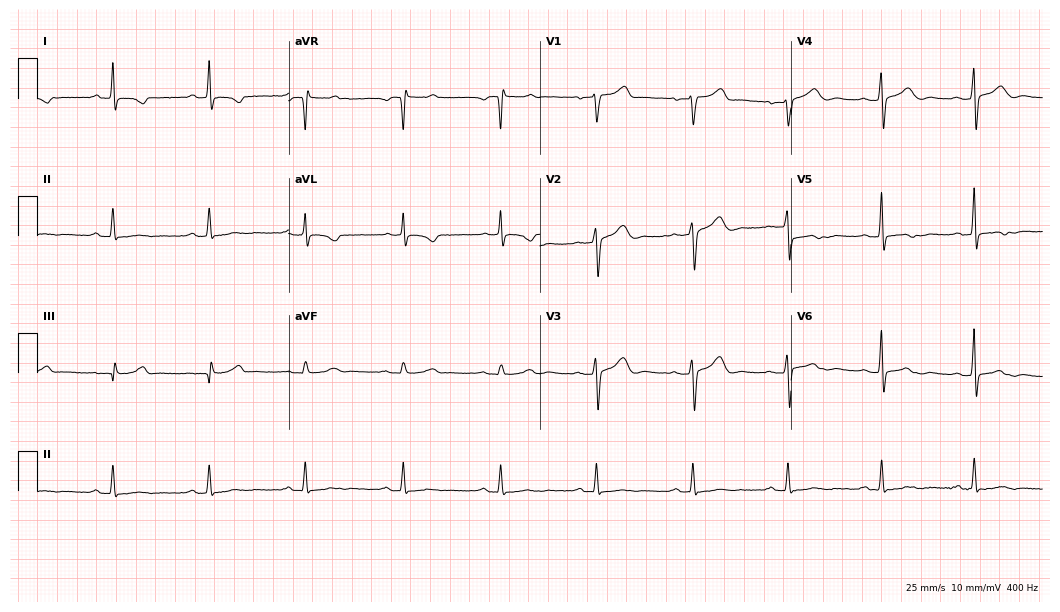
12-lead ECG from a 54-year-old female (10.2-second recording at 400 Hz). No first-degree AV block, right bundle branch block, left bundle branch block, sinus bradycardia, atrial fibrillation or sinus tachycardia recorded for this tracing. Only these six findings were labelled.